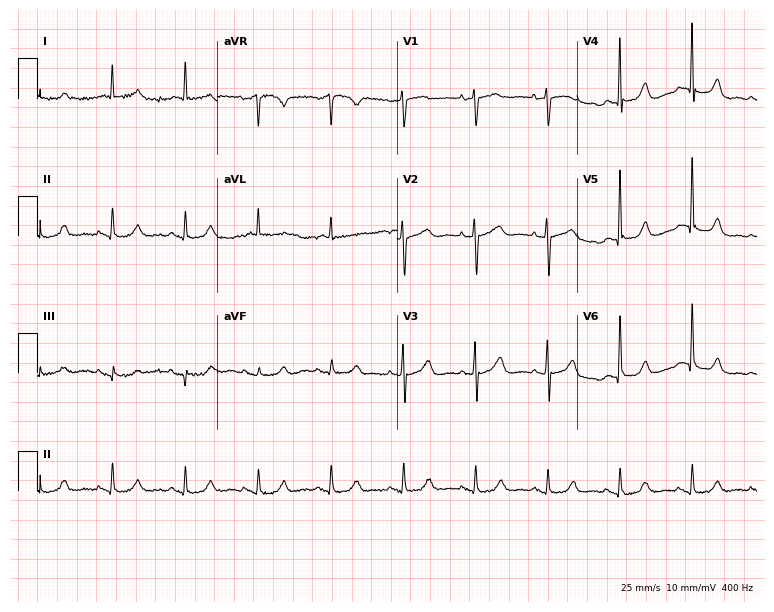
Standard 12-lead ECG recorded from a female, 85 years old (7.3-second recording at 400 Hz). Read as a normal ECG.